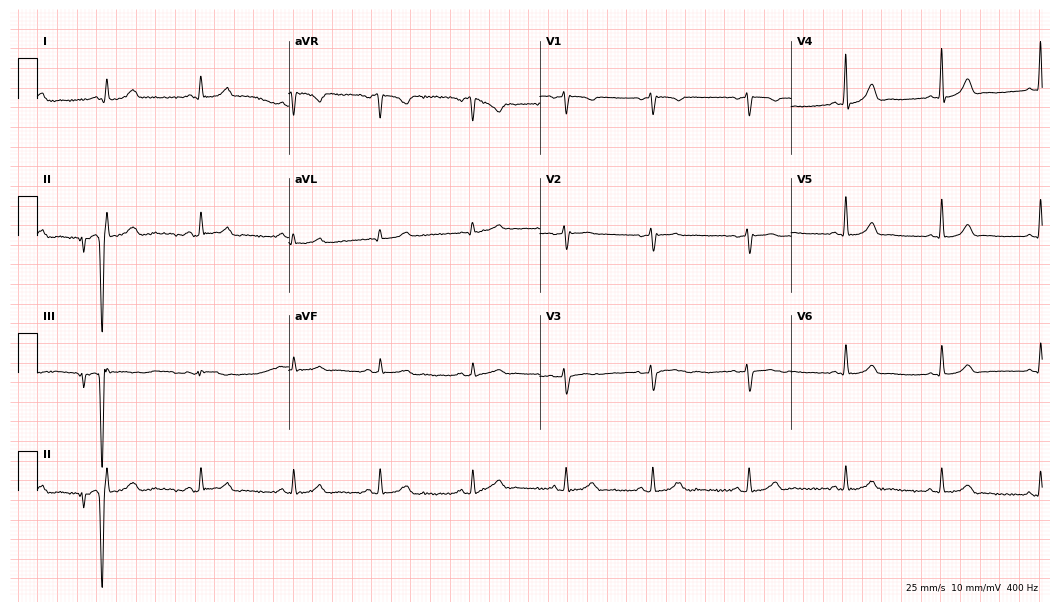
Resting 12-lead electrocardiogram. Patient: a 42-year-old female. None of these six findings is recorded: first-degree AV block, right bundle branch block, left bundle branch block, sinus bradycardia, atrial fibrillation, sinus tachycardia.